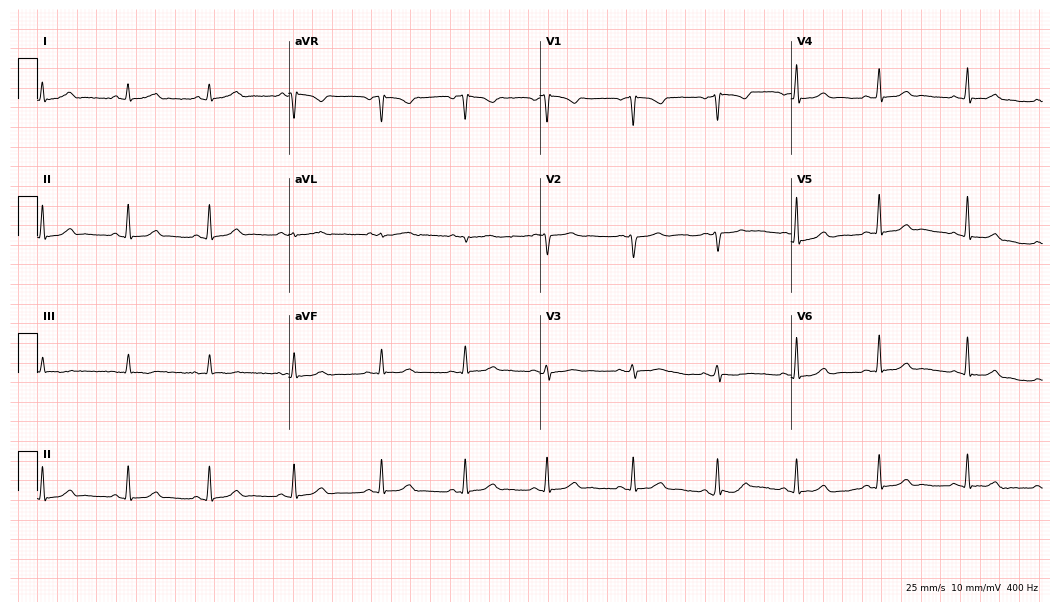
Electrocardiogram (10.2-second recording at 400 Hz), a woman, 49 years old. Overall reading on record: normal ECG.